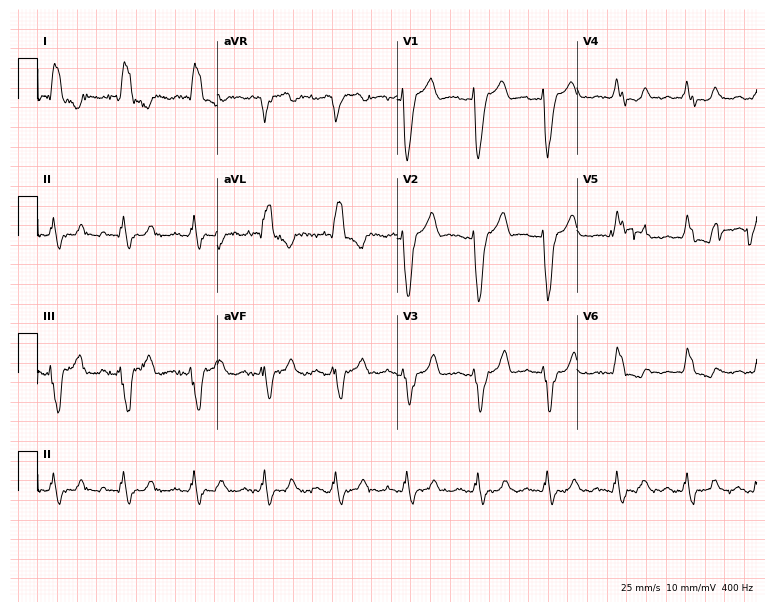
Standard 12-lead ECG recorded from a 69-year-old female (7.3-second recording at 400 Hz). The tracing shows left bundle branch block.